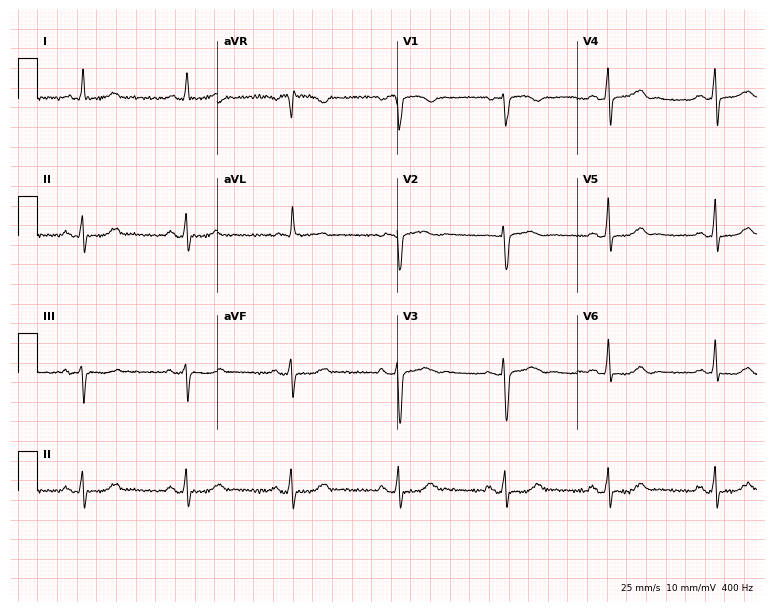
ECG — a female, 71 years old. Screened for six findings — first-degree AV block, right bundle branch block (RBBB), left bundle branch block (LBBB), sinus bradycardia, atrial fibrillation (AF), sinus tachycardia — none is recorded. Findings outside these six are not listed.